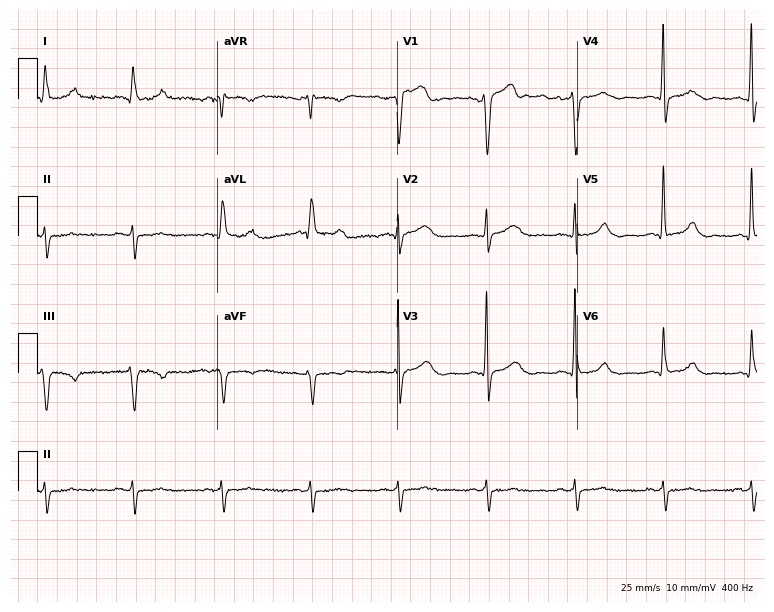
Electrocardiogram (7.3-second recording at 400 Hz), a 59-year-old man. Of the six screened findings (first-degree AV block, right bundle branch block (RBBB), left bundle branch block (LBBB), sinus bradycardia, atrial fibrillation (AF), sinus tachycardia), none is recorded.